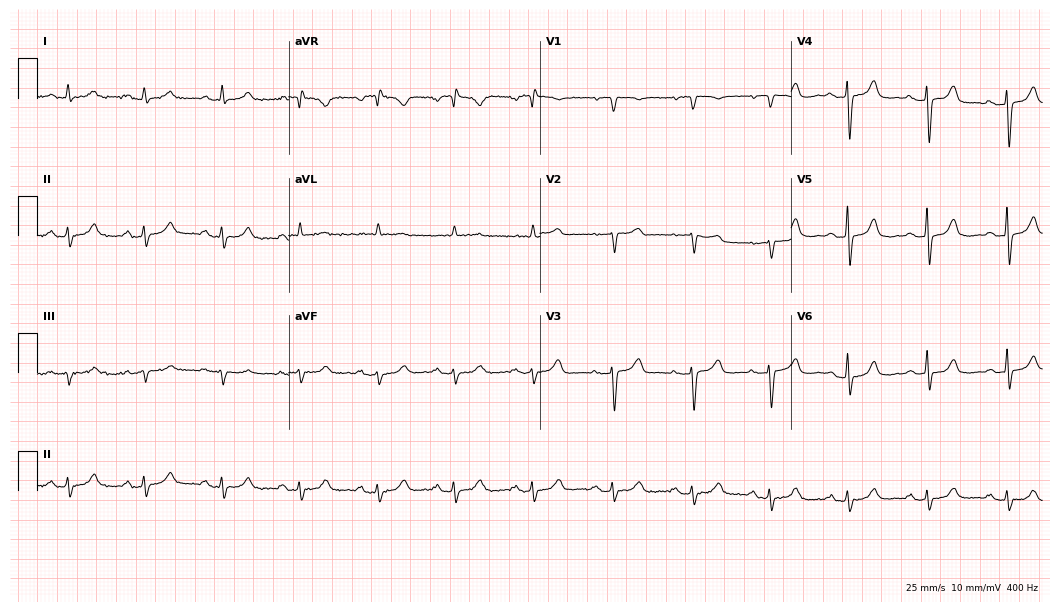
12-lead ECG (10.2-second recording at 400 Hz) from a female patient, 77 years old. Labelled as a normal ECG.